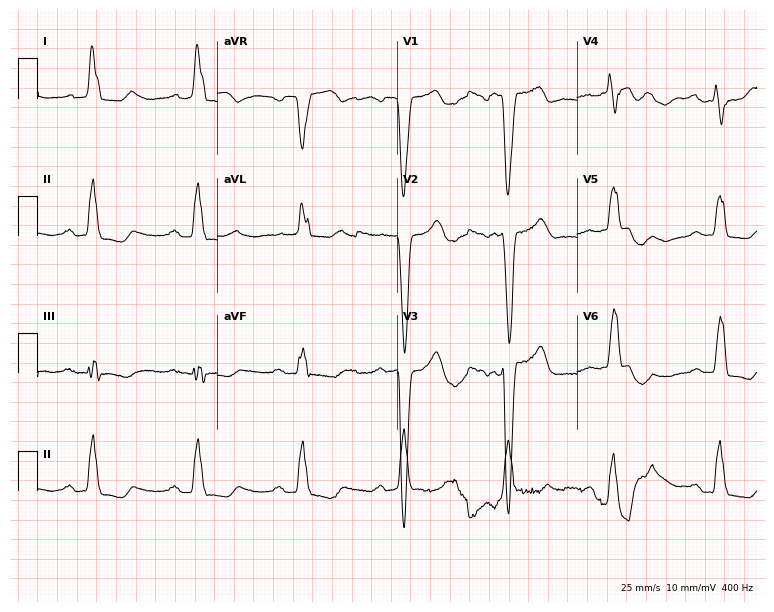
Standard 12-lead ECG recorded from a woman, 72 years old. None of these six findings is recorded: first-degree AV block, right bundle branch block (RBBB), left bundle branch block (LBBB), sinus bradycardia, atrial fibrillation (AF), sinus tachycardia. Only these six findings were labelled.